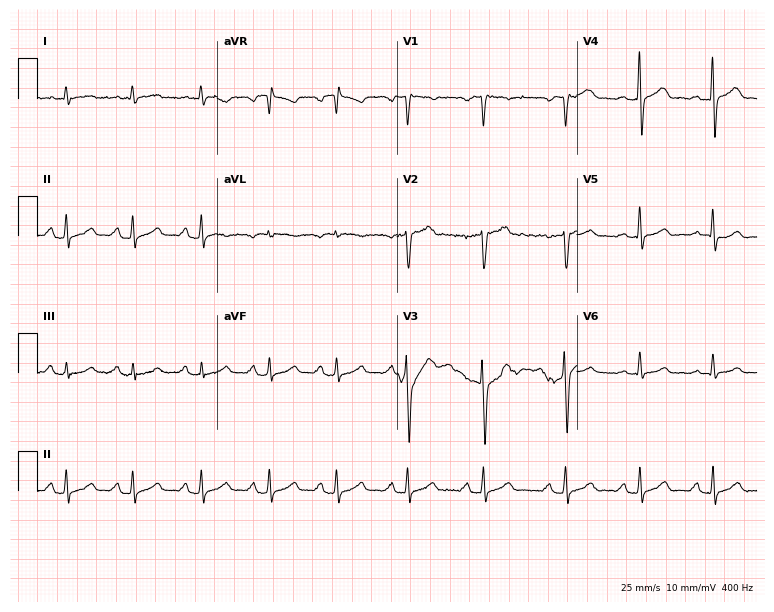
12-lead ECG (7.3-second recording at 400 Hz) from a 42-year-old man. Screened for six findings — first-degree AV block, right bundle branch block (RBBB), left bundle branch block (LBBB), sinus bradycardia, atrial fibrillation (AF), sinus tachycardia — none is recorded. Only these six findings were labelled.